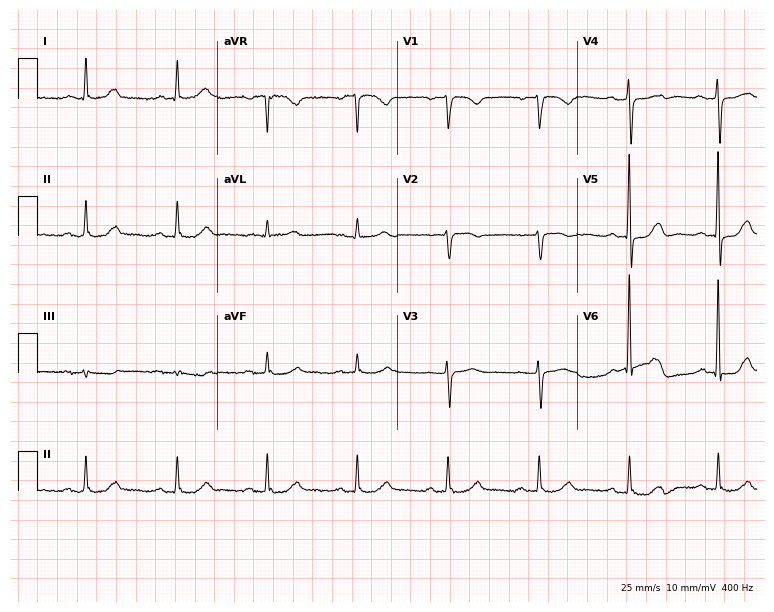
12-lead ECG from a female patient, 81 years old. No first-degree AV block, right bundle branch block (RBBB), left bundle branch block (LBBB), sinus bradycardia, atrial fibrillation (AF) or sinus tachycardia recorded for this tracing.